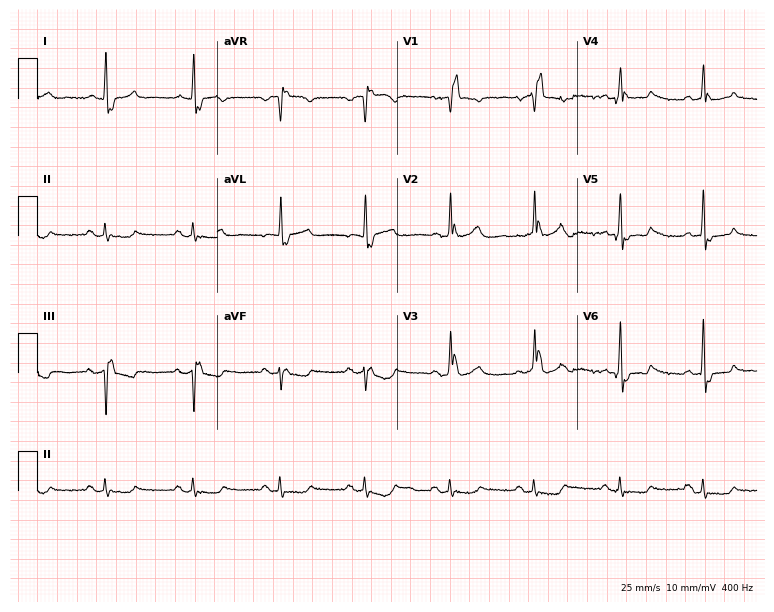
Electrocardiogram, a 76-year-old male patient. Of the six screened findings (first-degree AV block, right bundle branch block (RBBB), left bundle branch block (LBBB), sinus bradycardia, atrial fibrillation (AF), sinus tachycardia), none is recorded. Other findings, if any, are not listed.